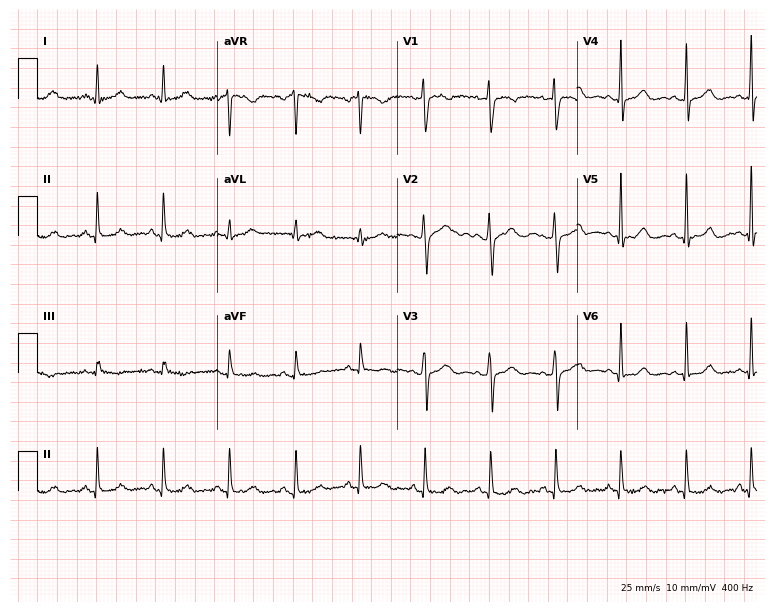
Resting 12-lead electrocardiogram (7.3-second recording at 400 Hz). Patient: a woman, 41 years old. None of these six findings is recorded: first-degree AV block, right bundle branch block, left bundle branch block, sinus bradycardia, atrial fibrillation, sinus tachycardia.